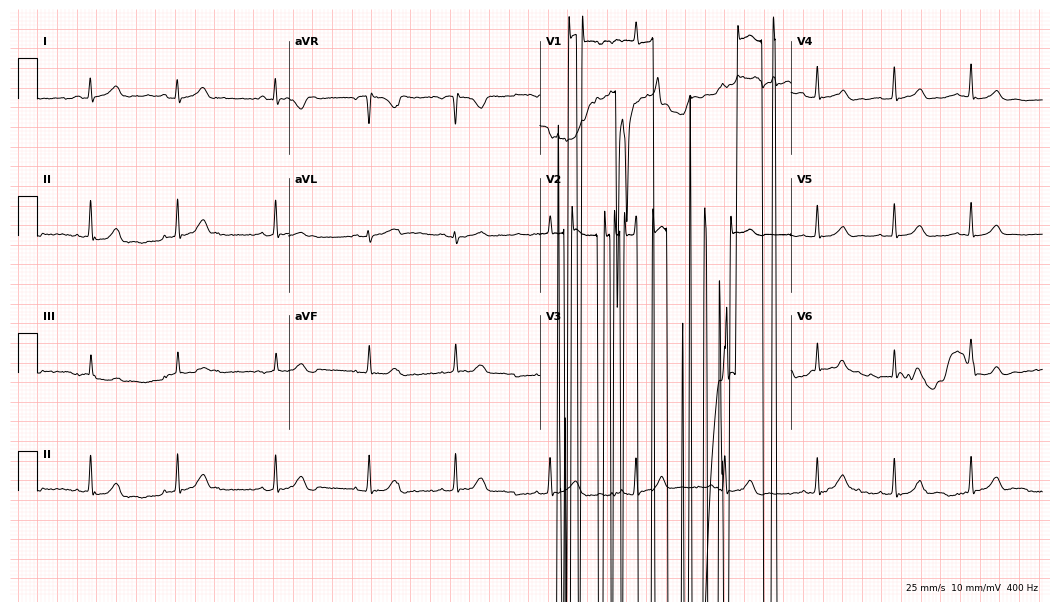
12-lead ECG from a female patient, 17 years old (10.2-second recording at 400 Hz). No first-degree AV block, right bundle branch block (RBBB), left bundle branch block (LBBB), sinus bradycardia, atrial fibrillation (AF) or sinus tachycardia recorded for this tracing. Other findings, if any, are not listed.